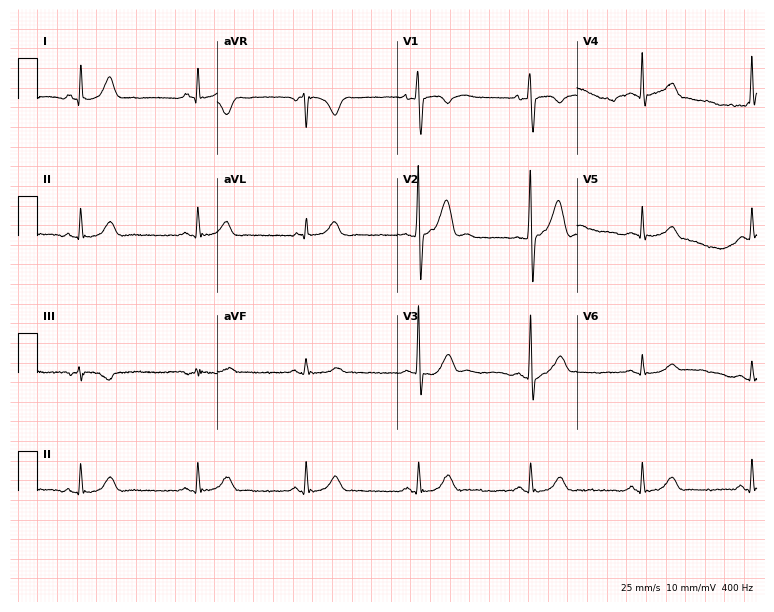
ECG — a 40-year-old male. Screened for six findings — first-degree AV block, right bundle branch block (RBBB), left bundle branch block (LBBB), sinus bradycardia, atrial fibrillation (AF), sinus tachycardia — none is recorded. Other findings, if any, are not listed.